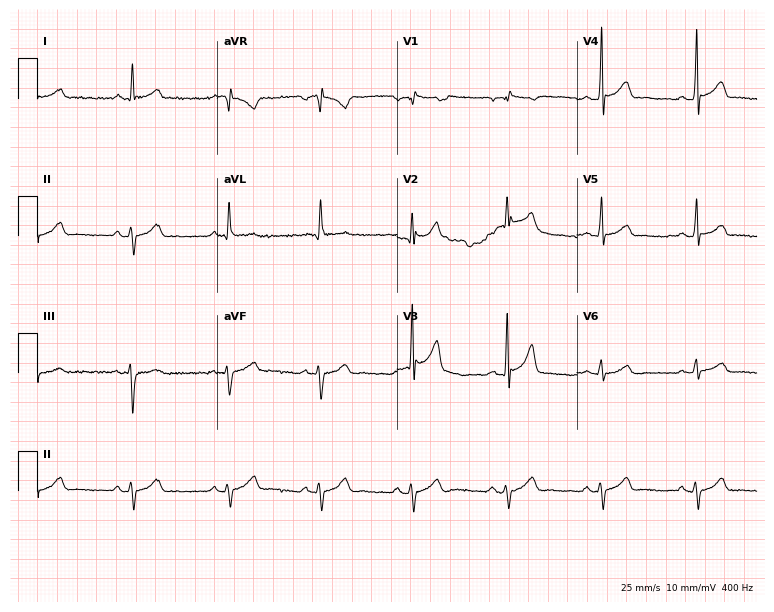
Electrocardiogram (7.3-second recording at 400 Hz), a man, 48 years old. Of the six screened findings (first-degree AV block, right bundle branch block (RBBB), left bundle branch block (LBBB), sinus bradycardia, atrial fibrillation (AF), sinus tachycardia), none is recorded. Only these six findings were labelled.